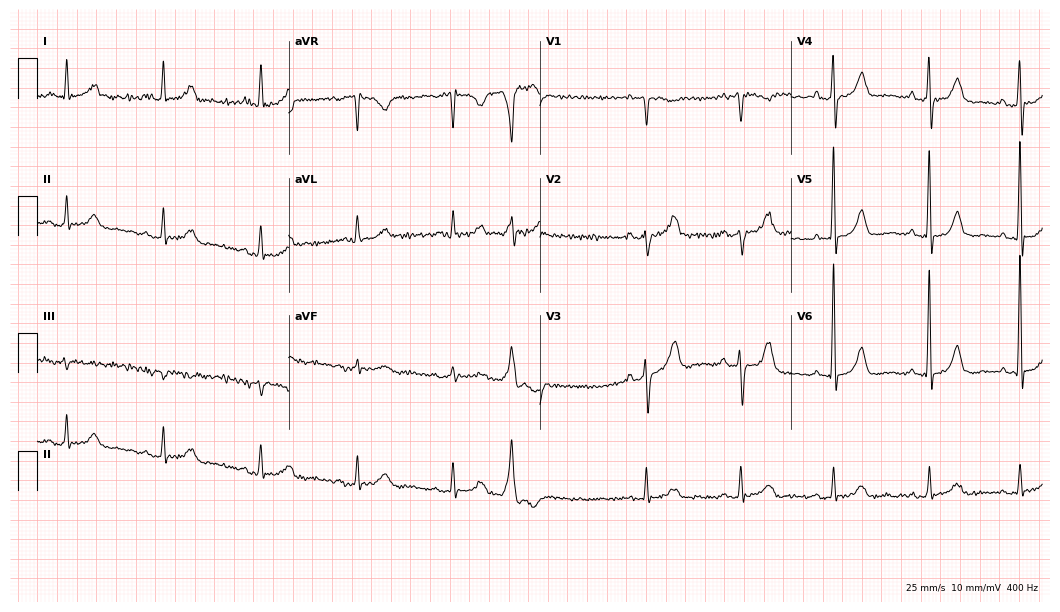
ECG — an 83-year-old male. Screened for six findings — first-degree AV block, right bundle branch block, left bundle branch block, sinus bradycardia, atrial fibrillation, sinus tachycardia — none is recorded.